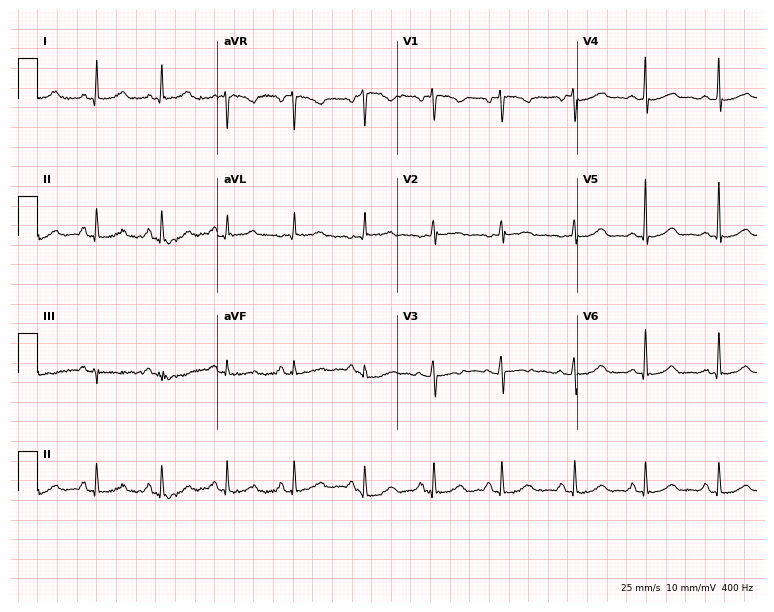
12-lead ECG from a woman, 58 years old. Labelled as a normal ECG.